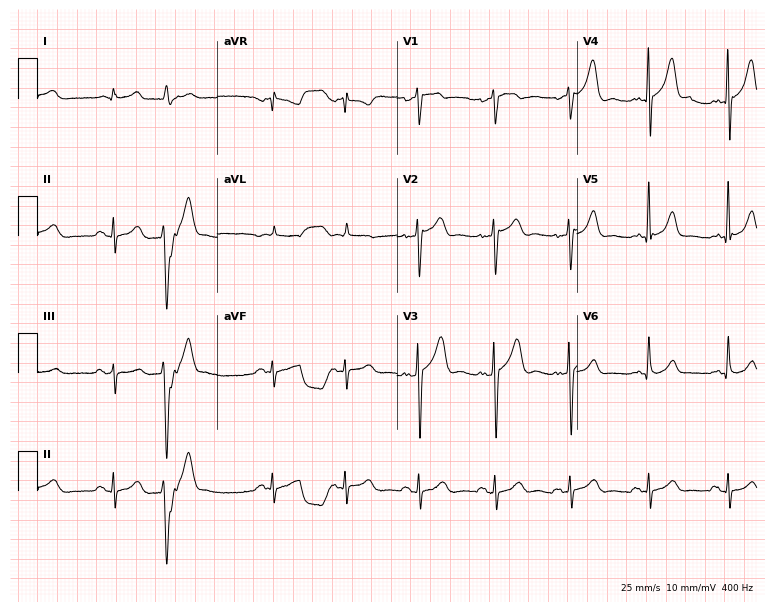
Standard 12-lead ECG recorded from a male patient, 61 years old (7.3-second recording at 400 Hz). None of these six findings is recorded: first-degree AV block, right bundle branch block, left bundle branch block, sinus bradycardia, atrial fibrillation, sinus tachycardia. Only these six findings were labelled.